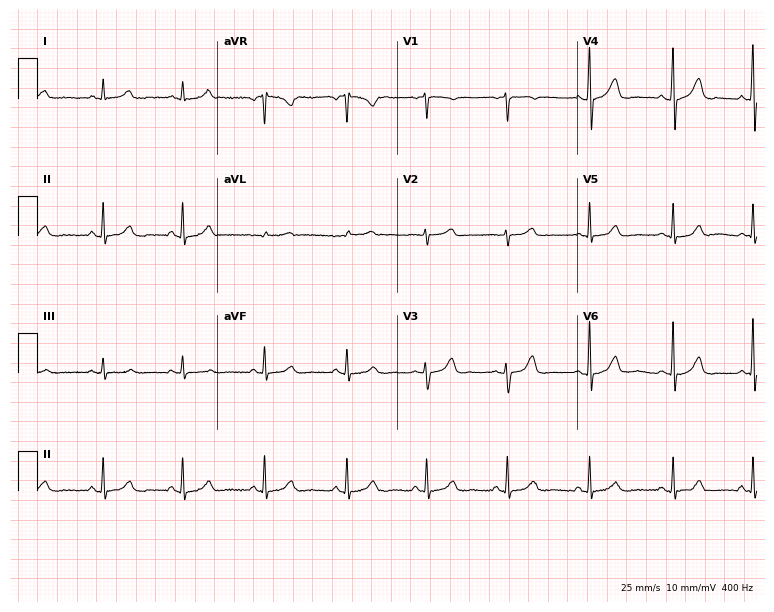
Resting 12-lead electrocardiogram. Patient: a female, 57 years old. Read as a normal ECG.